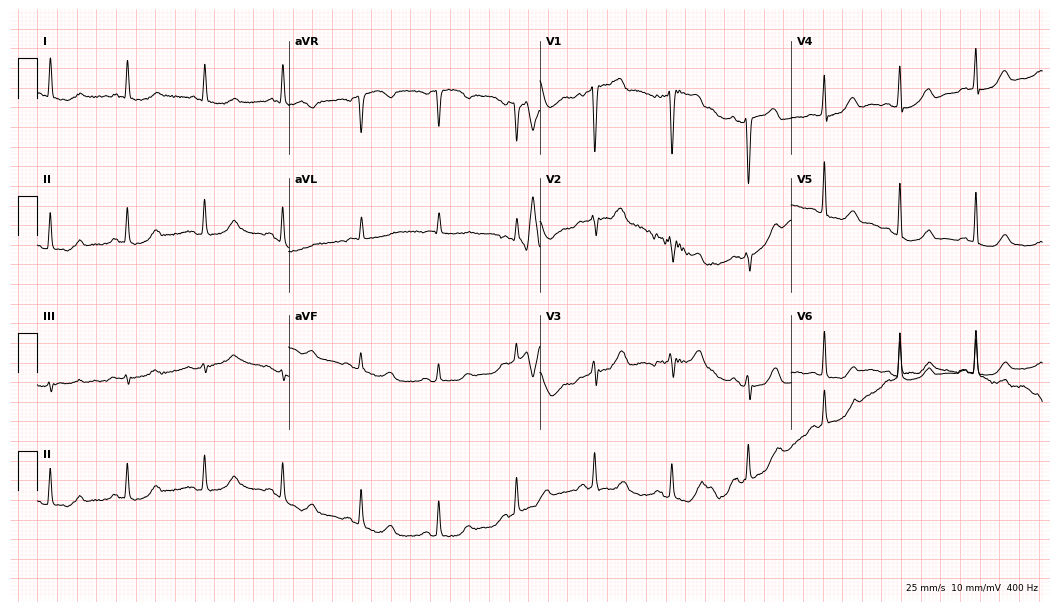
Resting 12-lead electrocardiogram (10.2-second recording at 400 Hz). Patient: a woman, 85 years old. None of these six findings is recorded: first-degree AV block, right bundle branch block (RBBB), left bundle branch block (LBBB), sinus bradycardia, atrial fibrillation (AF), sinus tachycardia. Other findings, if any, are not listed.